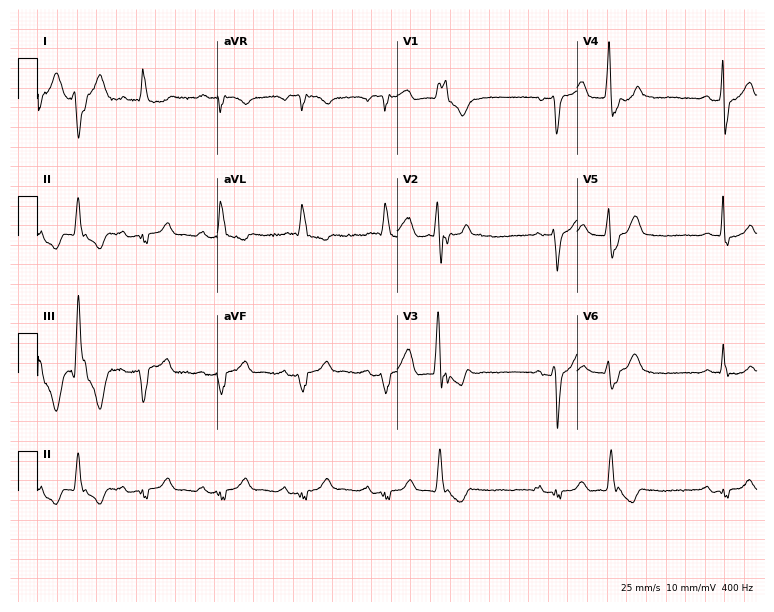
ECG (7.3-second recording at 400 Hz) — a 78-year-old man. Screened for six findings — first-degree AV block, right bundle branch block, left bundle branch block, sinus bradycardia, atrial fibrillation, sinus tachycardia — none is recorded. Other findings, if any, are not listed.